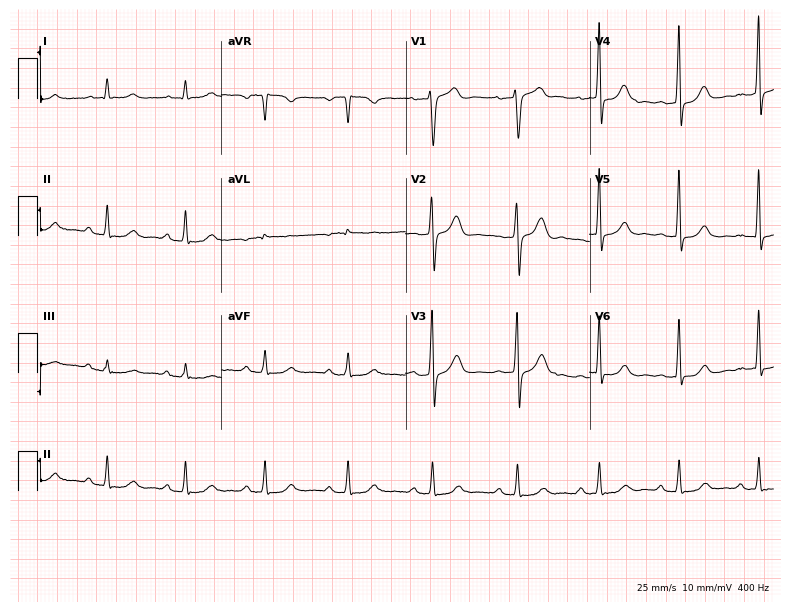
12-lead ECG from a man, 57 years old (7.5-second recording at 400 Hz). Recorded interpretation: within normal limits.